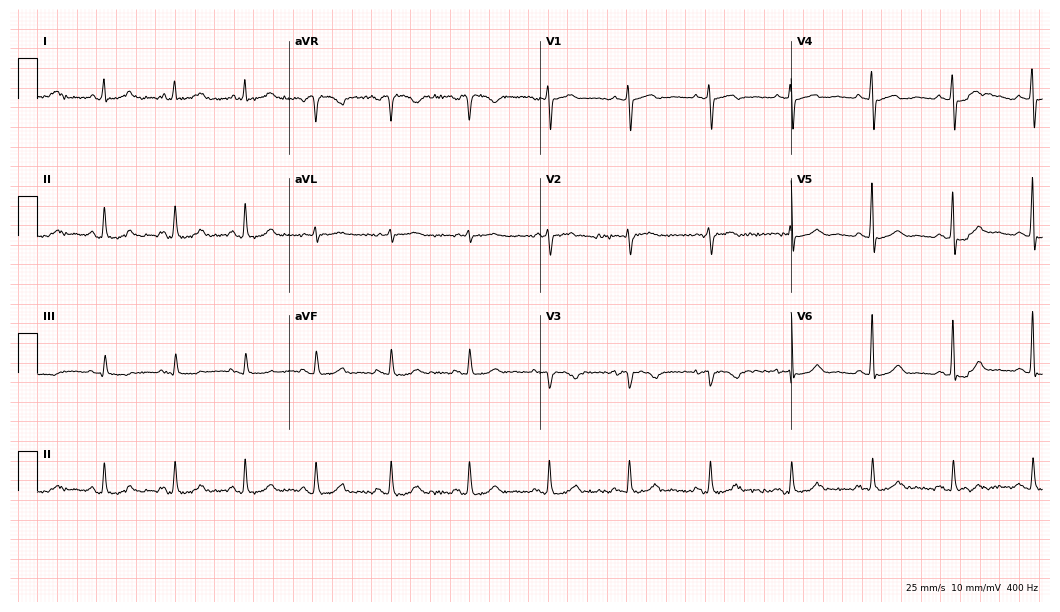
Electrocardiogram, a 72-year-old woman. Of the six screened findings (first-degree AV block, right bundle branch block (RBBB), left bundle branch block (LBBB), sinus bradycardia, atrial fibrillation (AF), sinus tachycardia), none is recorded.